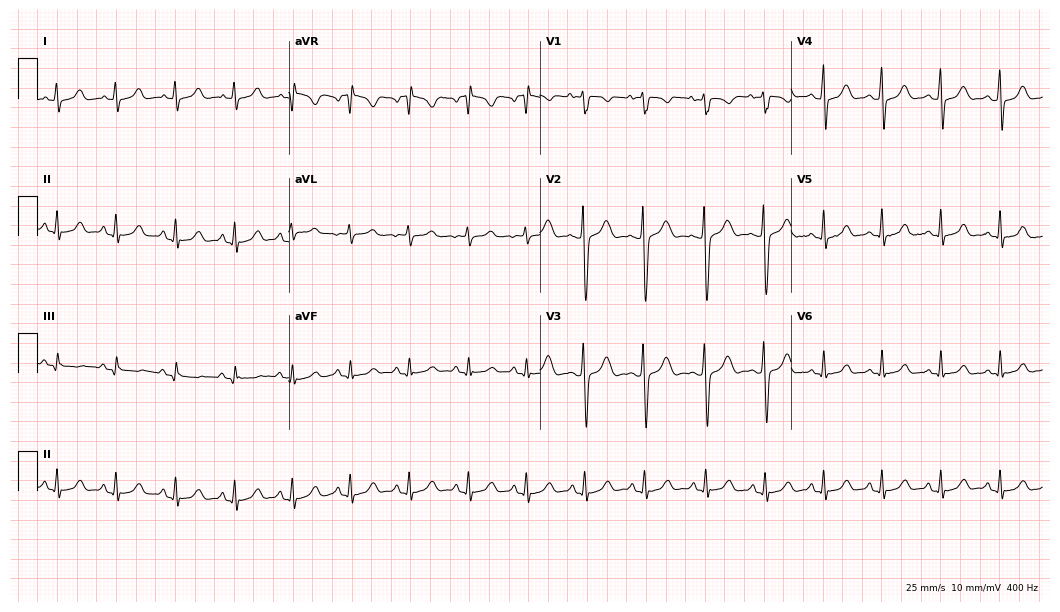
12-lead ECG from a 20-year-old woman (10.2-second recording at 400 Hz). No first-degree AV block, right bundle branch block, left bundle branch block, sinus bradycardia, atrial fibrillation or sinus tachycardia recorded for this tracing.